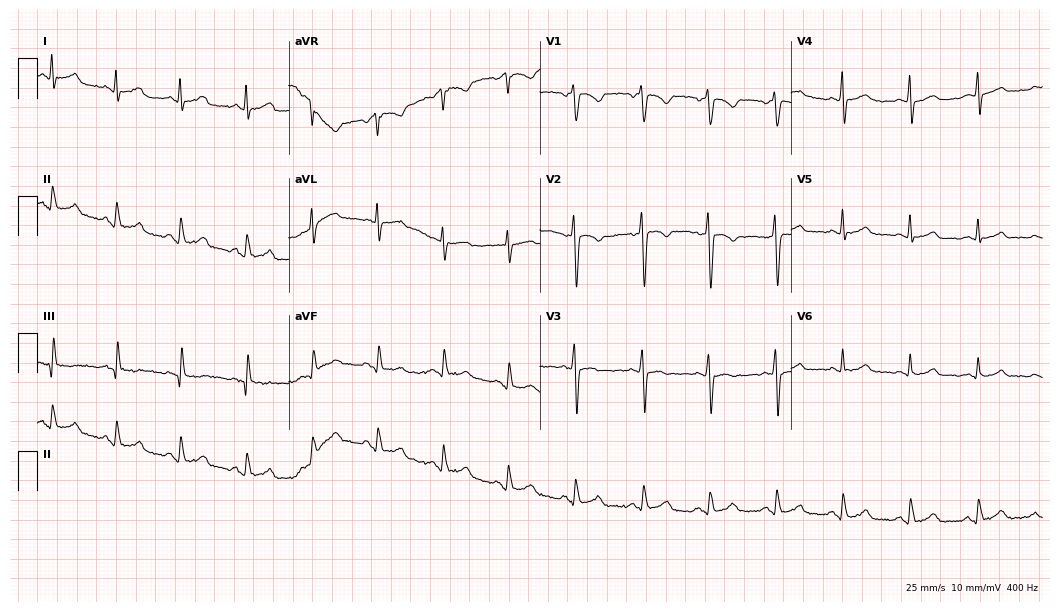
ECG — a woman, 21 years old. Screened for six findings — first-degree AV block, right bundle branch block (RBBB), left bundle branch block (LBBB), sinus bradycardia, atrial fibrillation (AF), sinus tachycardia — none is recorded. Only these six findings were labelled.